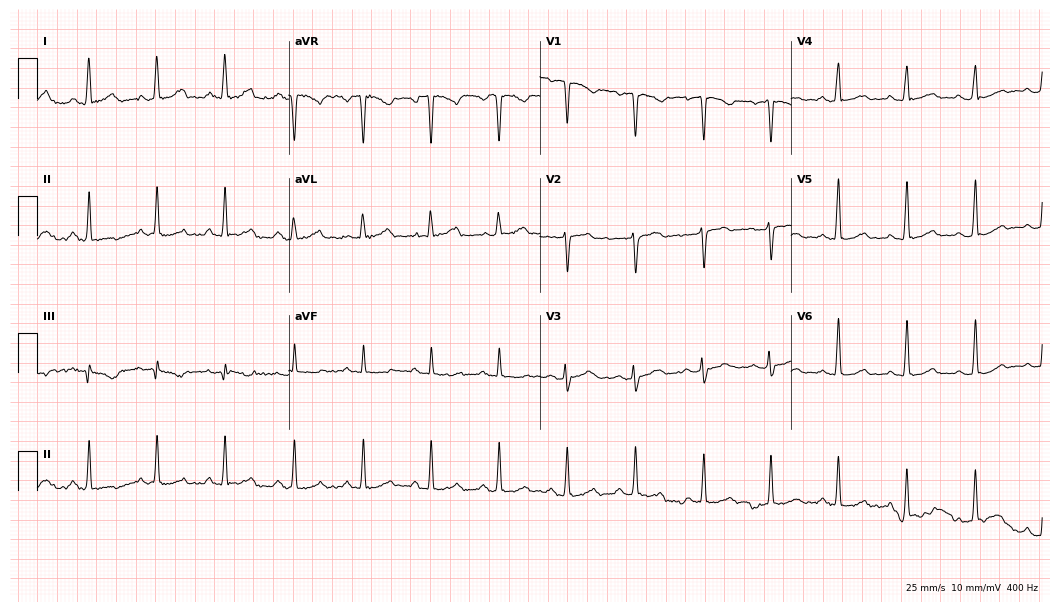
ECG (10.2-second recording at 400 Hz) — a 36-year-old female patient. Labelled as a normal ECG.